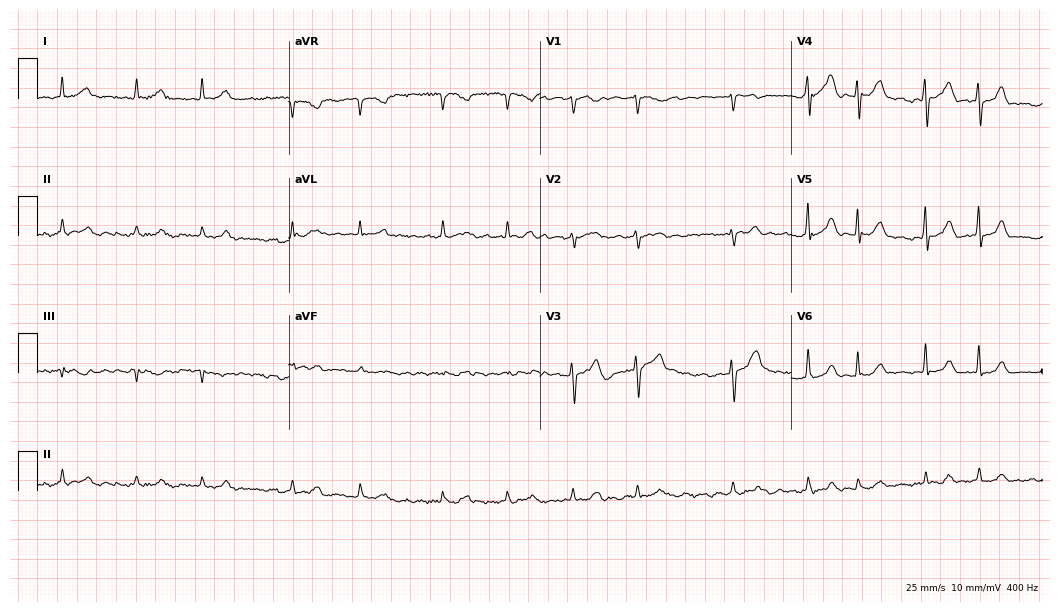
Electrocardiogram, a male patient, 73 years old. Interpretation includes atrial fibrillation (AF).